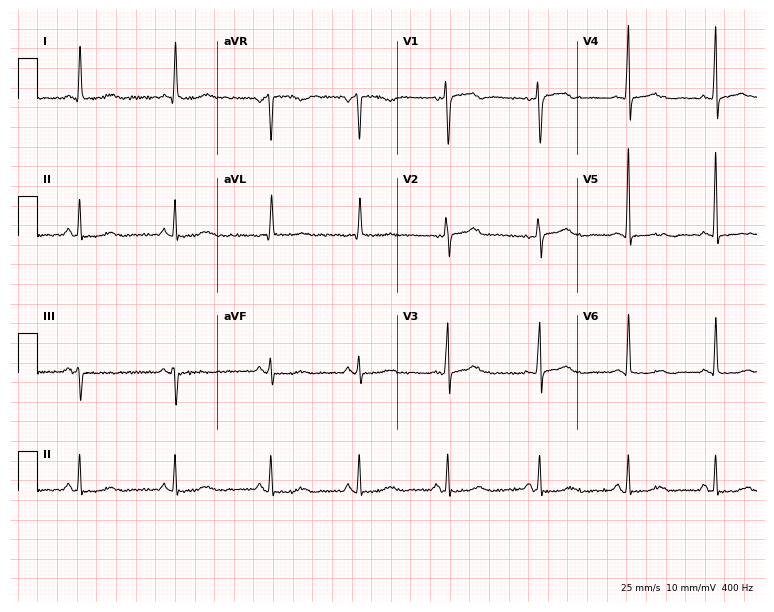
Resting 12-lead electrocardiogram. Patient: an 83-year-old female. None of these six findings is recorded: first-degree AV block, right bundle branch block (RBBB), left bundle branch block (LBBB), sinus bradycardia, atrial fibrillation (AF), sinus tachycardia. Findings outside these six are not listed.